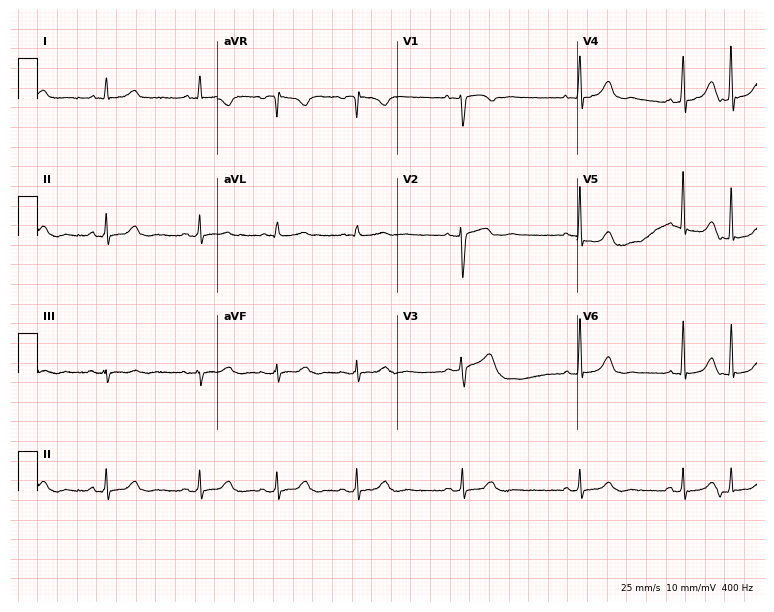
Resting 12-lead electrocardiogram. Patient: a 73-year-old female. None of these six findings is recorded: first-degree AV block, right bundle branch block (RBBB), left bundle branch block (LBBB), sinus bradycardia, atrial fibrillation (AF), sinus tachycardia.